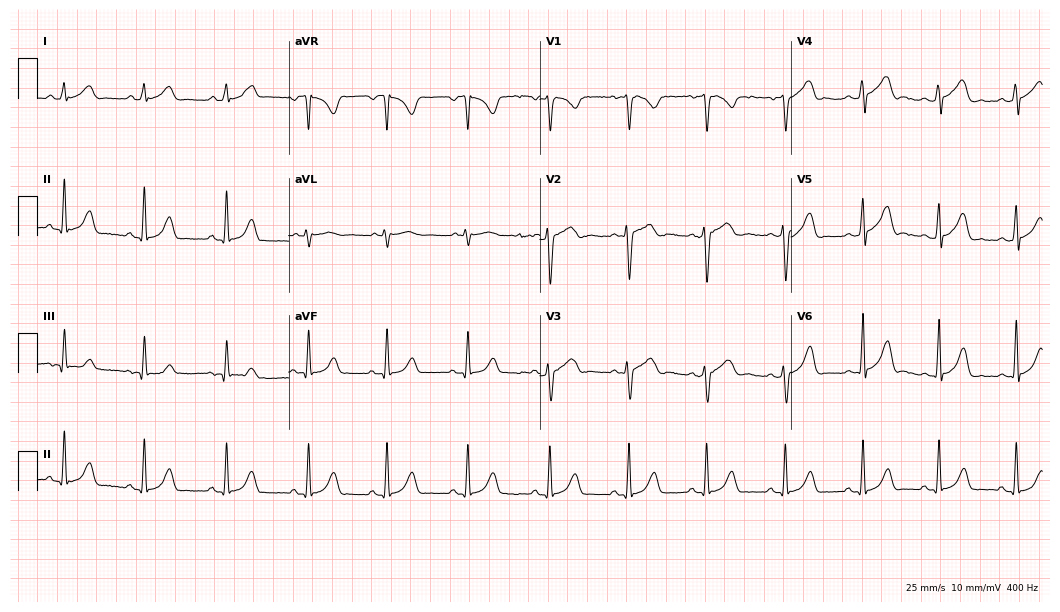
Electrocardiogram (10.2-second recording at 400 Hz), a female patient, 24 years old. Overall reading on record: normal ECG.